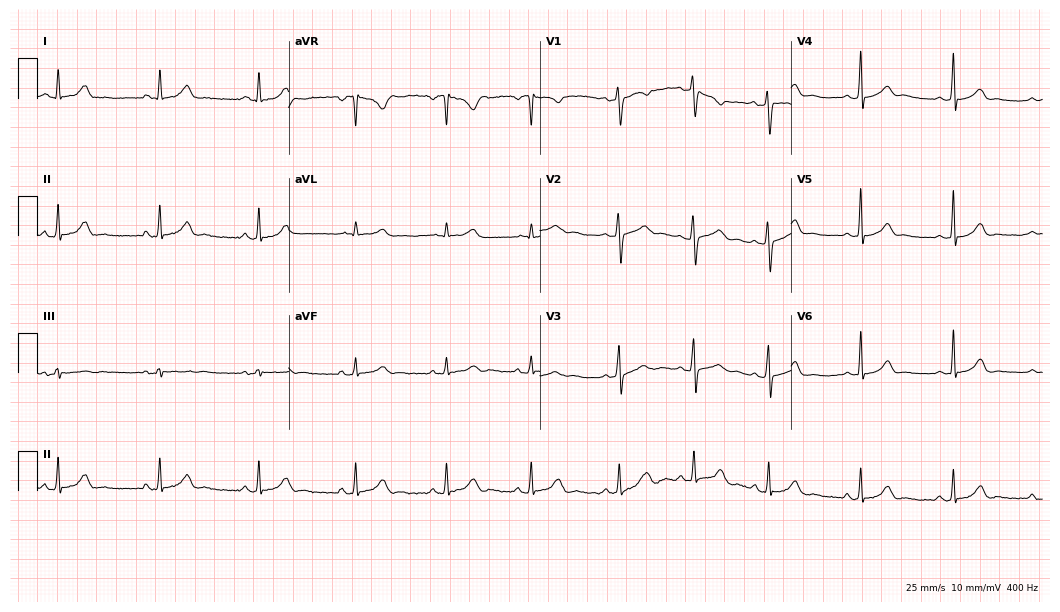
Standard 12-lead ECG recorded from a female, 21 years old (10.2-second recording at 400 Hz). Read as a normal ECG.